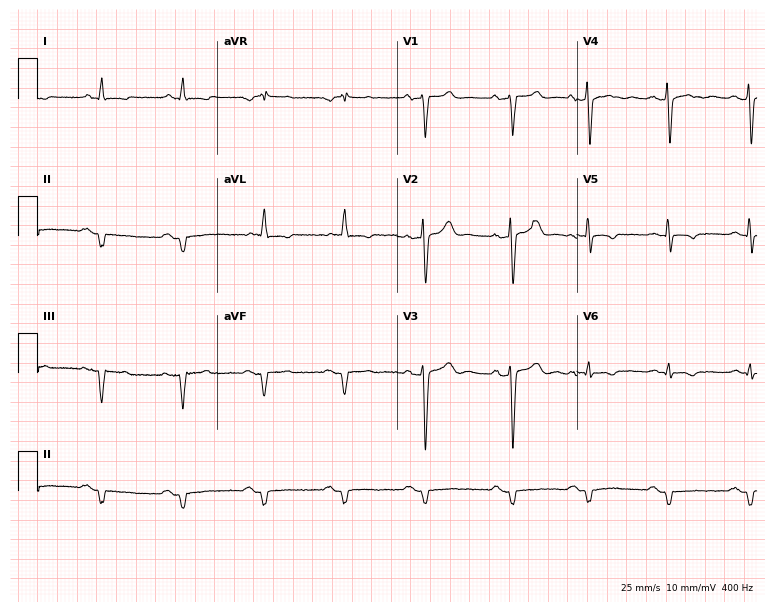
Standard 12-lead ECG recorded from a male patient, 57 years old (7.3-second recording at 400 Hz). None of these six findings is recorded: first-degree AV block, right bundle branch block (RBBB), left bundle branch block (LBBB), sinus bradycardia, atrial fibrillation (AF), sinus tachycardia.